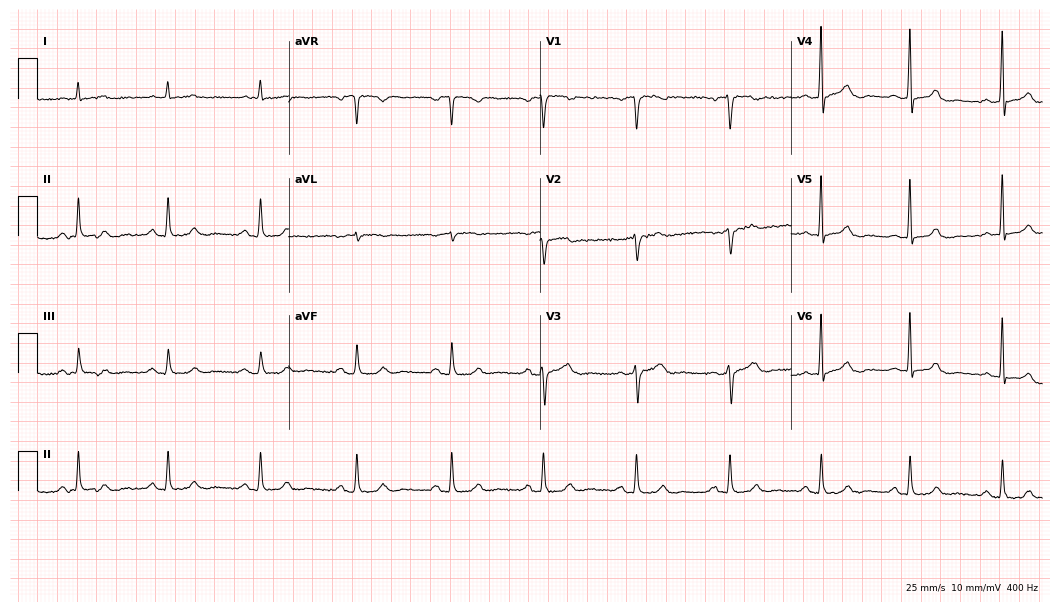
Resting 12-lead electrocardiogram. Patient: a 63-year-old male. Read as a normal ECG.